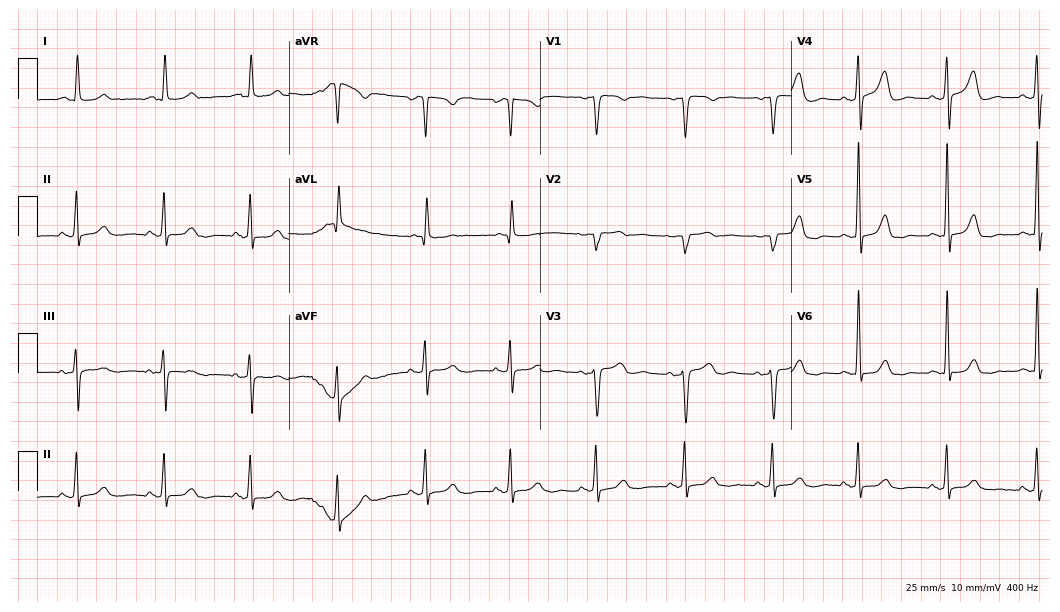
12-lead ECG from a female patient, 62 years old. No first-degree AV block, right bundle branch block, left bundle branch block, sinus bradycardia, atrial fibrillation or sinus tachycardia recorded for this tracing.